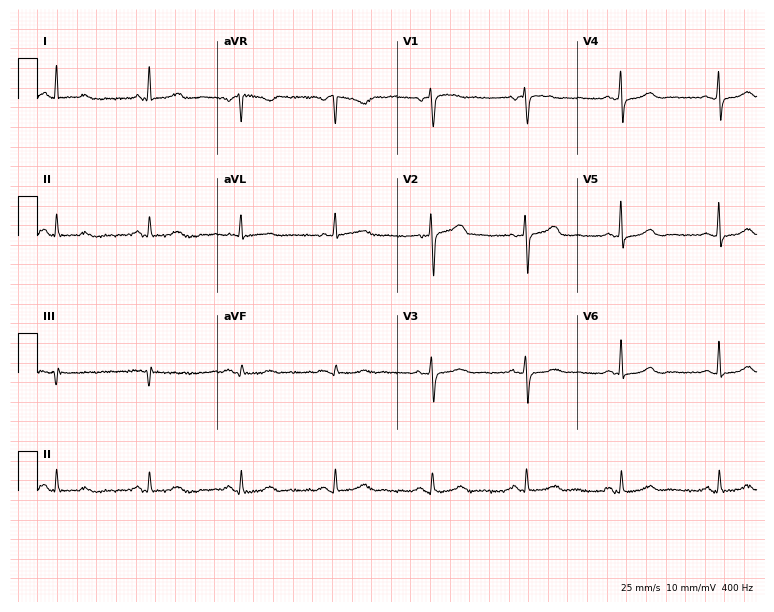
12-lead ECG from a 67-year-old female (7.3-second recording at 400 Hz). Recorded interpretation: within normal limits.